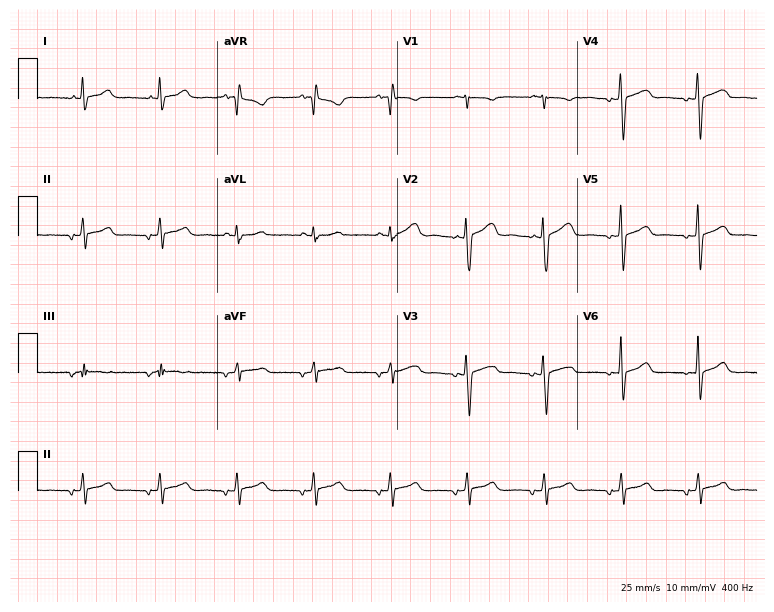
Resting 12-lead electrocardiogram. Patient: a 30-year-old female. None of these six findings is recorded: first-degree AV block, right bundle branch block, left bundle branch block, sinus bradycardia, atrial fibrillation, sinus tachycardia. Only these six findings were labelled.